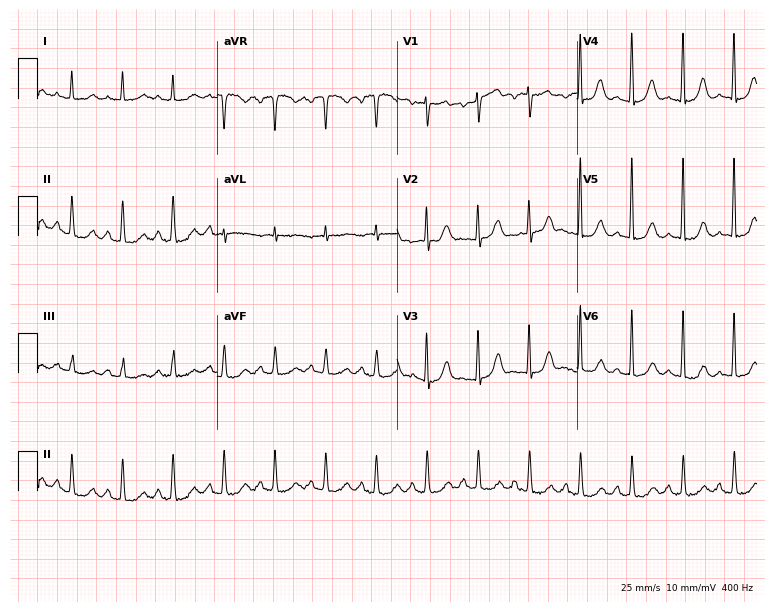
Standard 12-lead ECG recorded from an 84-year-old female patient. None of these six findings is recorded: first-degree AV block, right bundle branch block, left bundle branch block, sinus bradycardia, atrial fibrillation, sinus tachycardia. Only these six findings were labelled.